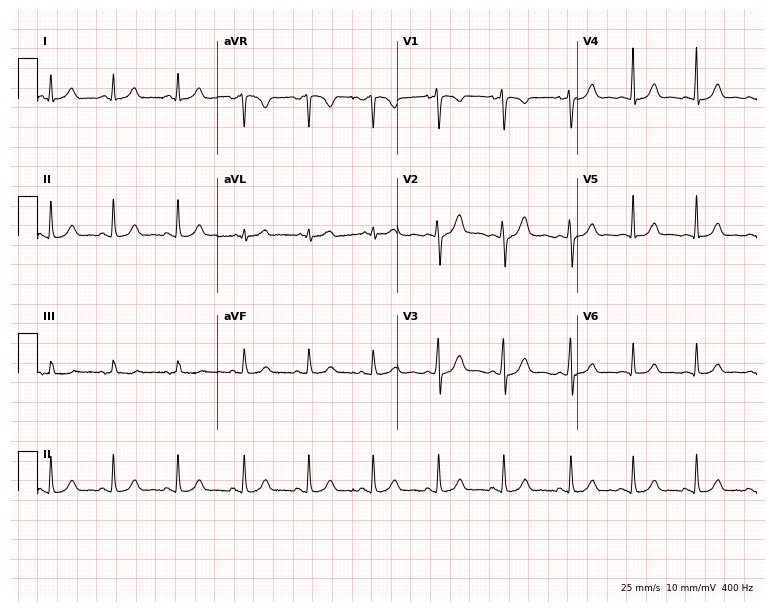
ECG (7.3-second recording at 400 Hz) — a woman, 21 years old. Labelled as a normal ECG.